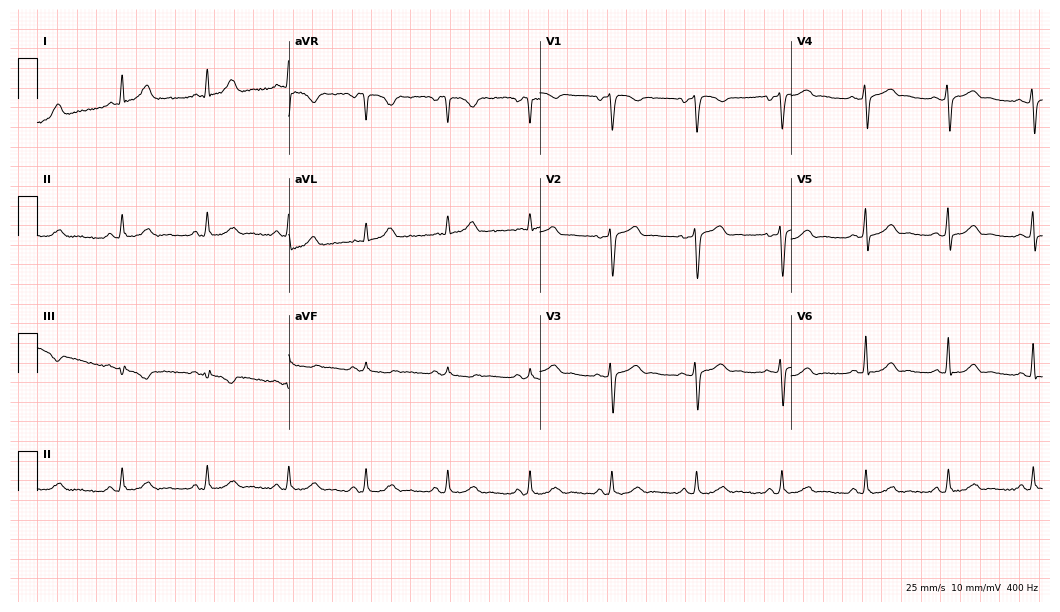
12-lead ECG from a 69-year-old male patient. Labelled as a normal ECG.